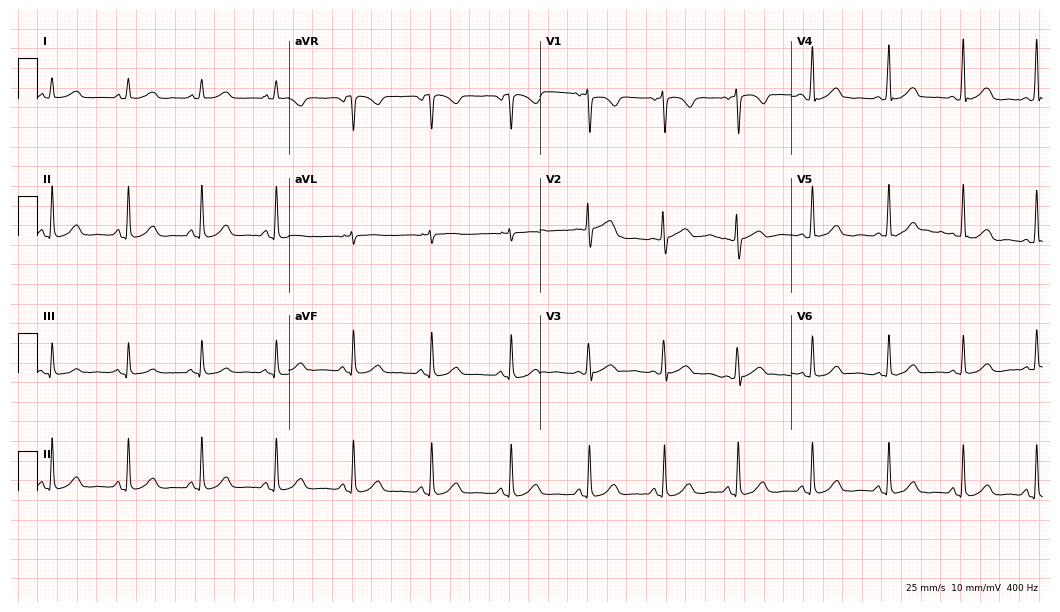
Resting 12-lead electrocardiogram. Patient: a 41-year-old female. Read as a normal ECG.